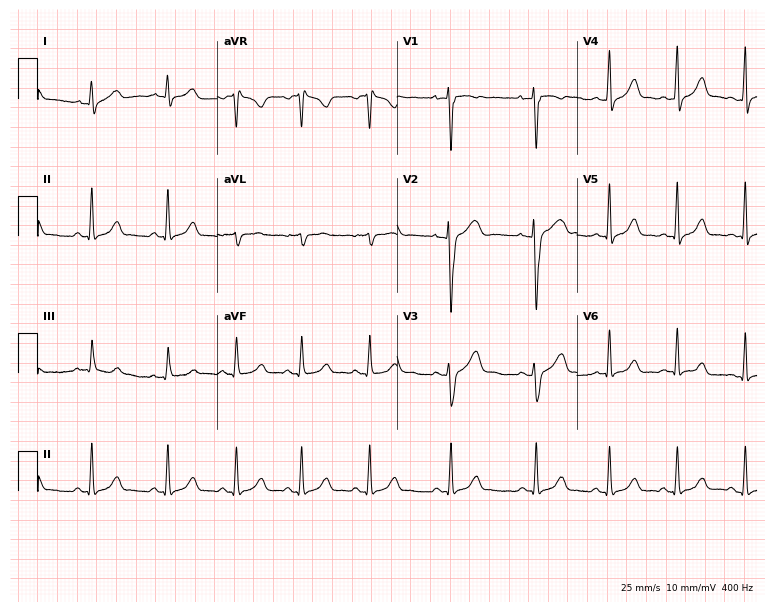
ECG — a female, 29 years old. Screened for six findings — first-degree AV block, right bundle branch block, left bundle branch block, sinus bradycardia, atrial fibrillation, sinus tachycardia — none is recorded.